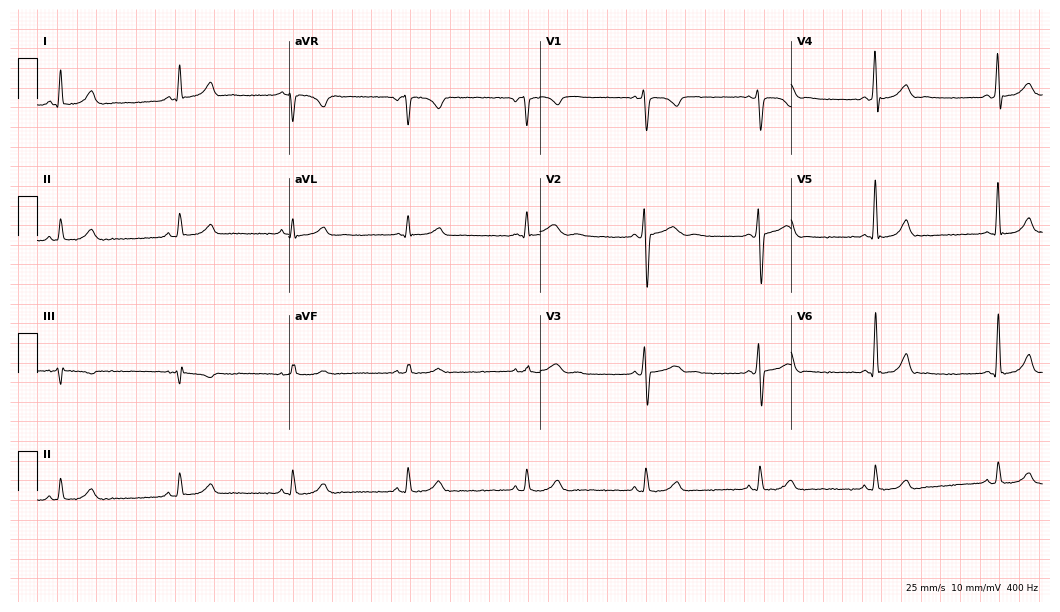
12-lead ECG (10.2-second recording at 400 Hz) from a man, 27 years old. Labelled as a normal ECG.